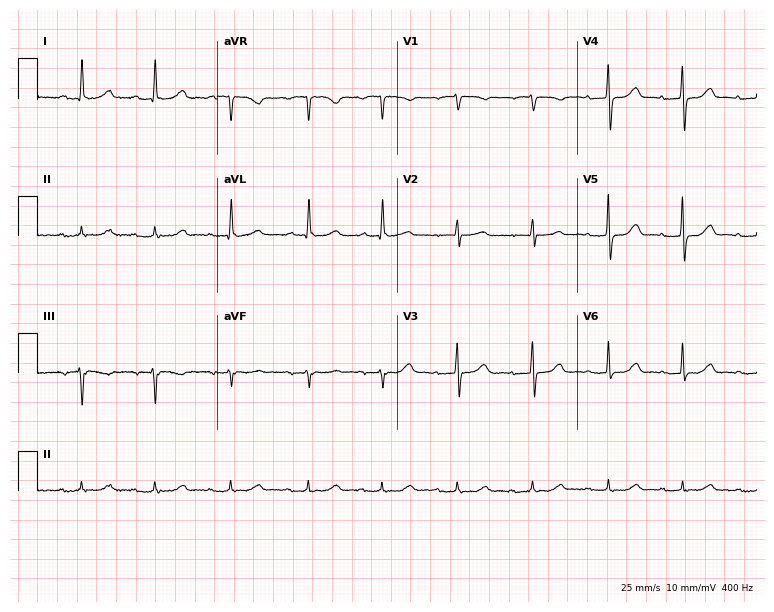
12-lead ECG from a female, 81 years old. Labelled as a normal ECG.